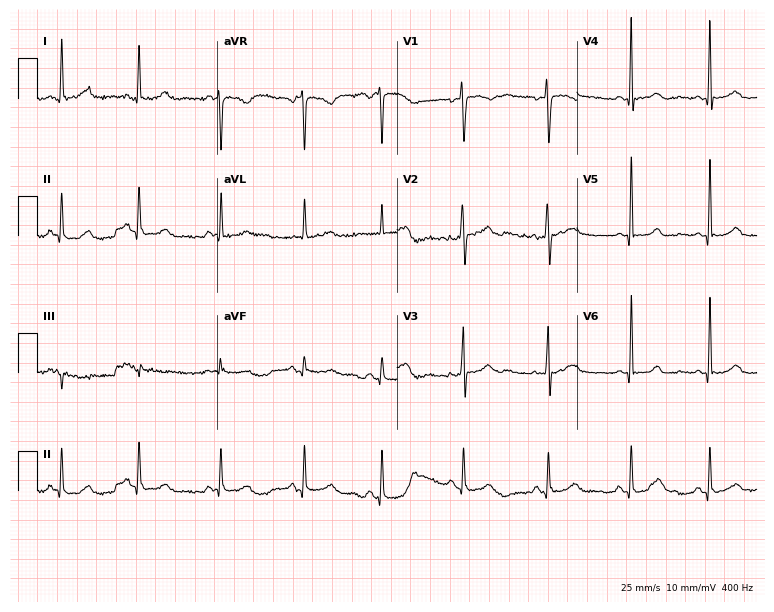
Resting 12-lead electrocardiogram (7.3-second recording at 400 Hz). Patient: a woman, 39 years old. None of these six findings is recorded: first-degree AV block, right bundle branch block, left bundle branch block, sinus bradycardia, atrial fibrillation, sinus tachycardia.